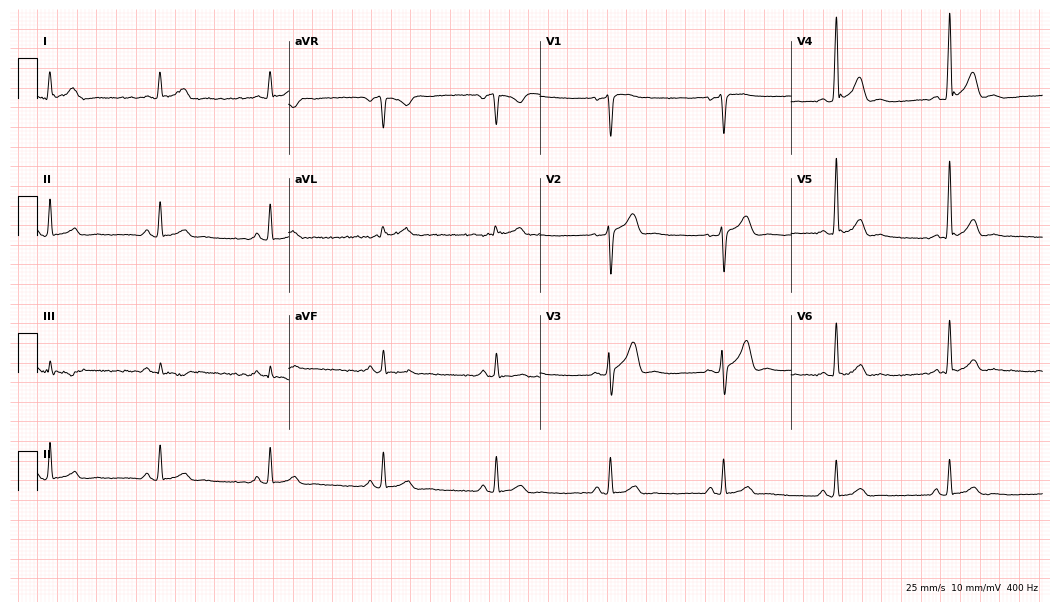
Standard 12-lead ECG recorded from a male patient, 34 years old (10.2-second recording at 400 Hz). None of these six findings is recorded: first-degree AV block, right bundle branch block (RBBB), left bundle branch block (LBBB), sinus bradycardia, atrial fibrillation (AF), sinus tachycardia.